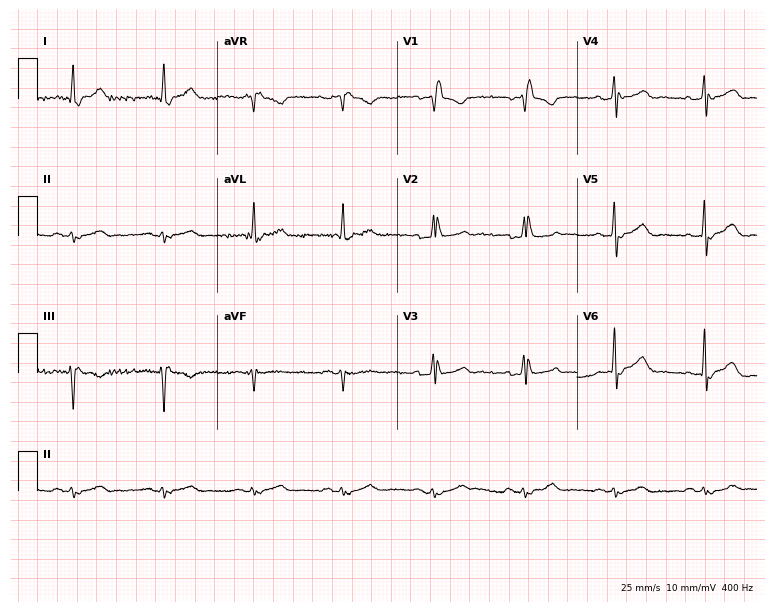
Standard 12-lead ECG recorded from an 83-year-old male (7.3-second recording at 400 Hz). The tracing shows right bundle branch block.